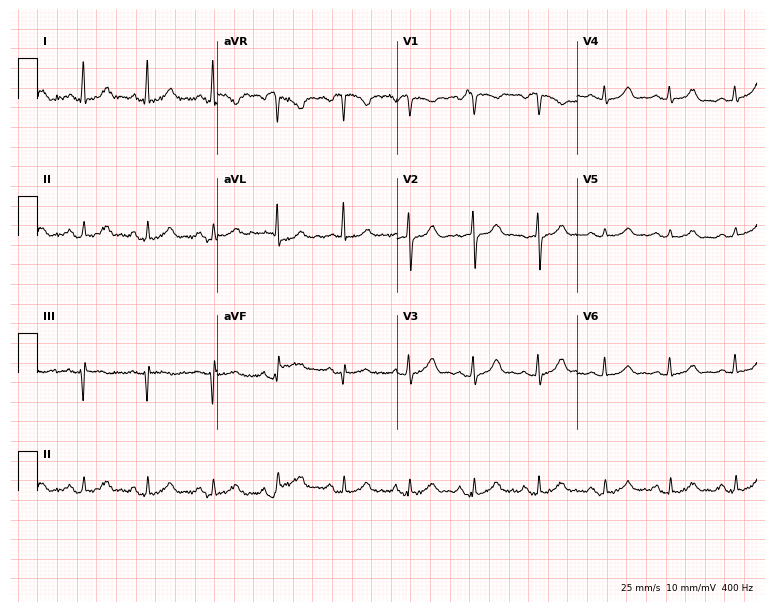
ECG (7.3-second recording at 400 Hz) — a 78-year-old female patient. Screened for six findings — first-degree AV block, right bundle branch block, left bundle branch block, sinus bradycardia, atrial fibrillation, sinus tachycardia — none is recorded.